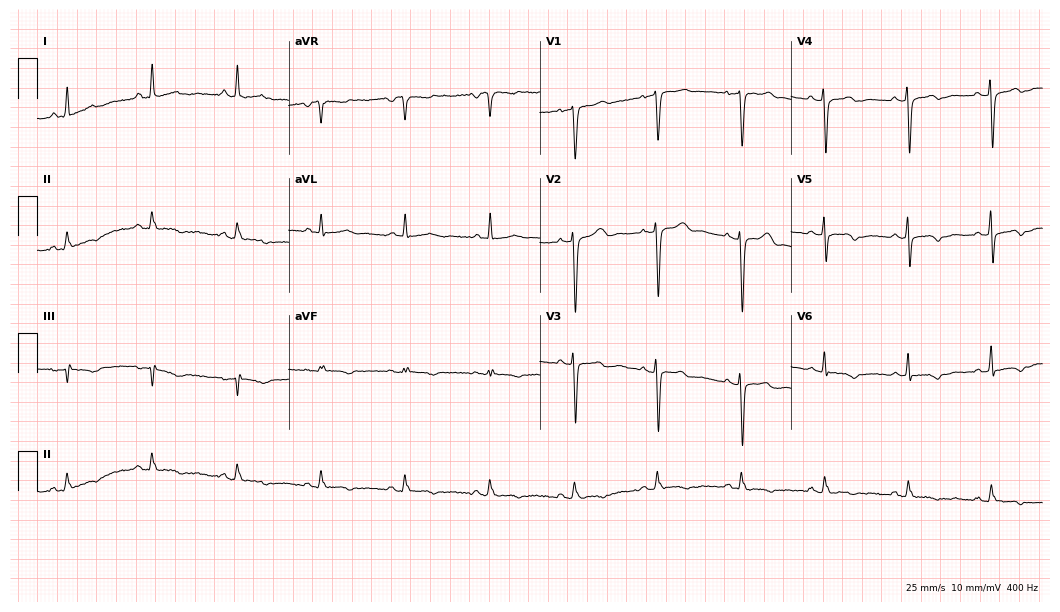
ECG — a 57-year-old woman. Screened for six findings — first-degree AV block, right bundle branch block, left bundle branch block, sinus bradycardia, atrial fibrillation, sinus tachycardia — none is recorded. Other findings, if any, are not listed.